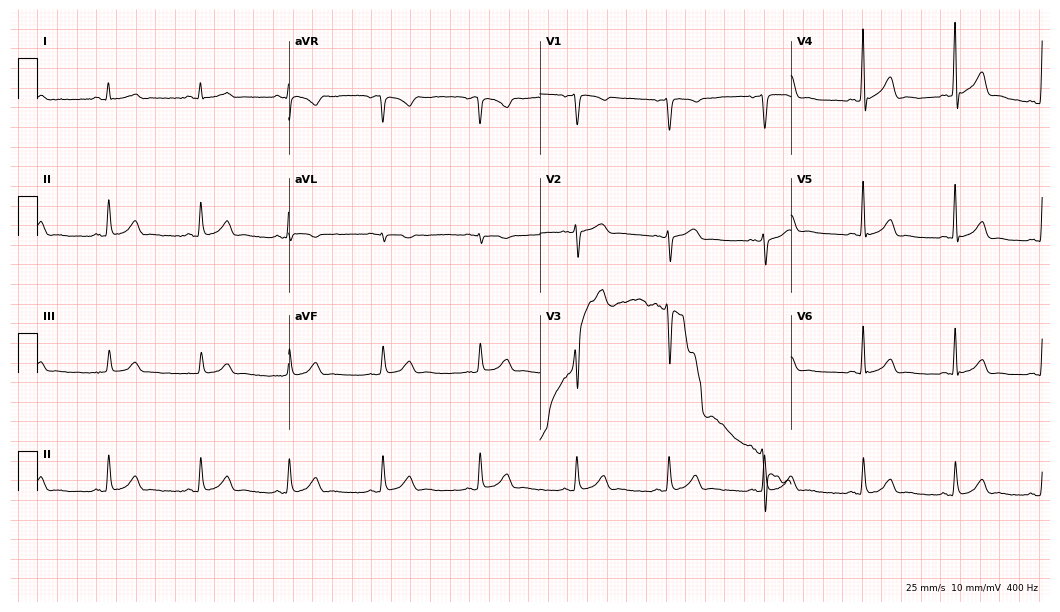
Resting 12-lead electrocardiogram (10.2-second recording at 400 Hz). Patient: a male, 52 years old. Read as a normal ECG.